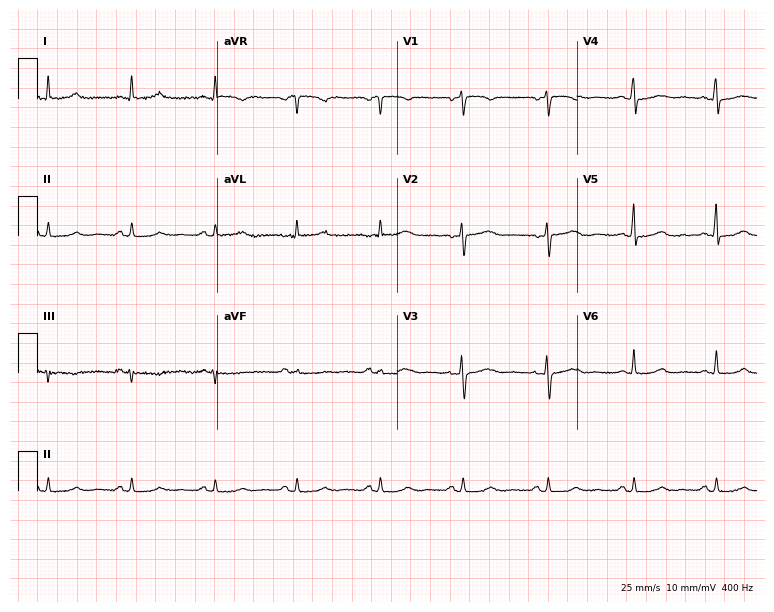
12-lead ECG (7.3-second recording at 400 Hz) from a 70-year-old female patient. Screened for six findings — first-degree AV block, right bundle branch block, left bundle branch block, sinus bradycardia, atrial fibrillation, sinus tachycardia — none is recorded. Only these six findings were labelled.